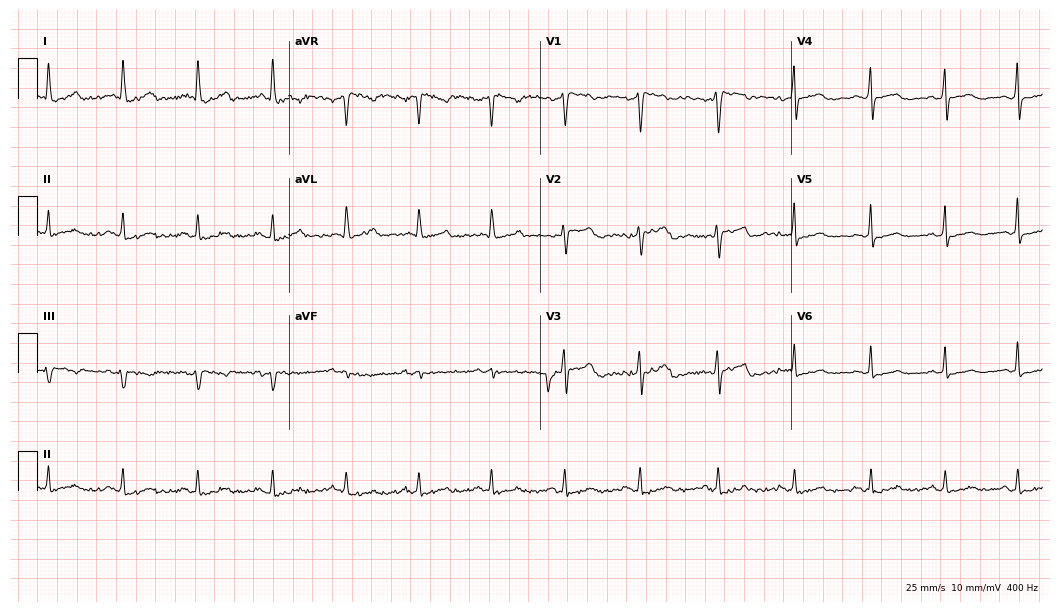
ECG — a female, 38 years old. Screened for six findings — first-degree AV block, right bundle branch block, left bundle branch block, sinus bradycardia, atrial fibrillation, sinus tachycardia — none is recorded. Other findings, if any, are not listed.